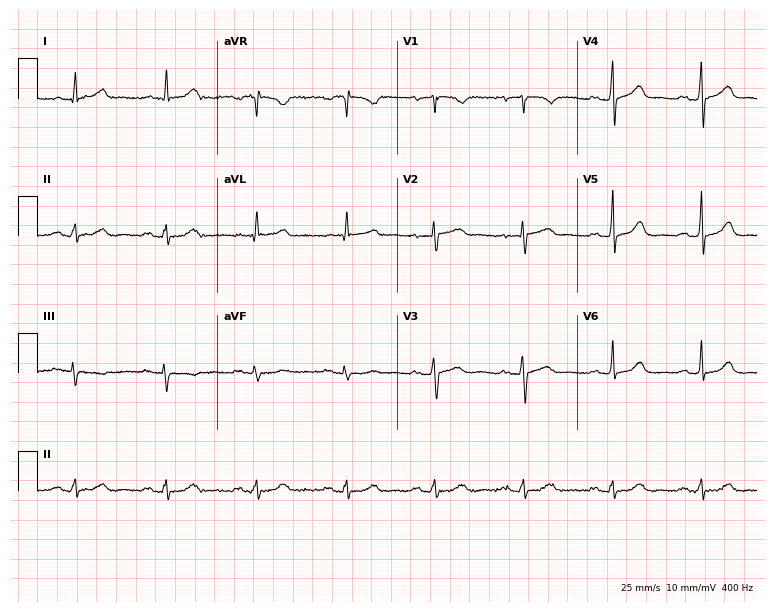
Electrocardiogram (7.3-second recording at 400 Hz), a 71-year-old woman. Of the six screened findings (first-degree AV block, right bundle branch block (RBBB), left bundle branch block (LBBB), sinus bradycardia, atrial fibrillation (AF), sinus tachycardia), none is recorded.